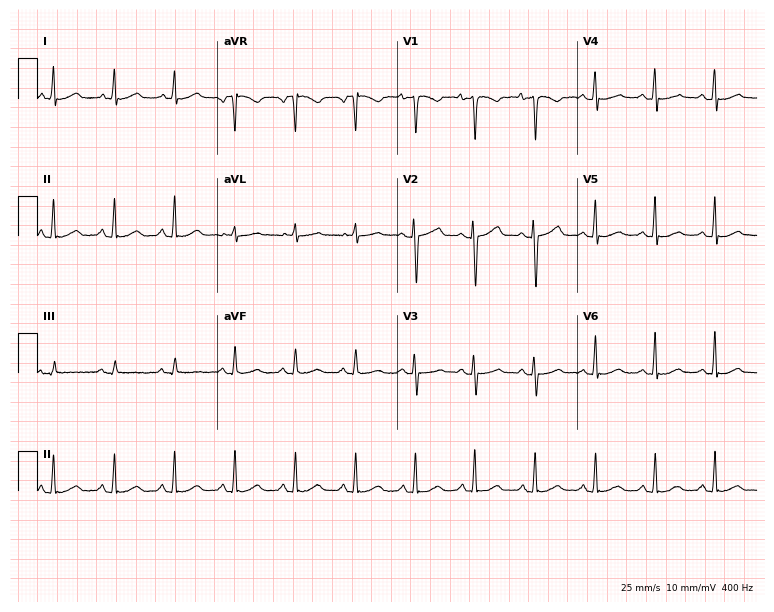
12-lead ECG from a 28-year-old female. Recorded interpretation: within normal limits.